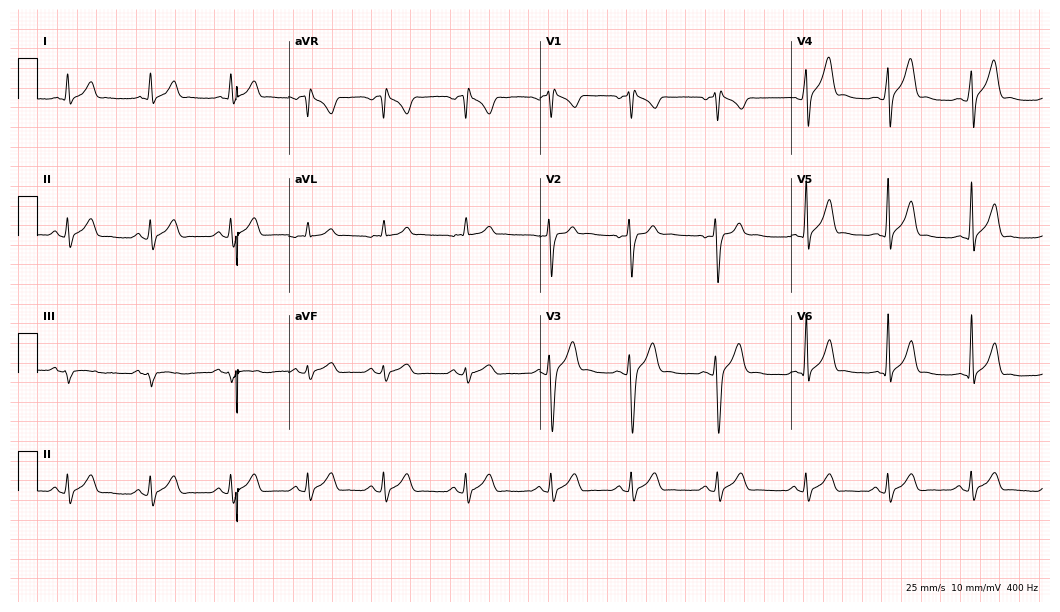
Standard 12-lead ECG recorded from a 23-year-old male (10.2-second recording at 400 Hz). None of these six findings is recorded: first-degree AV block, right bundle branch block, left bundle branch block, sinus bradycardia, atrial fibrillation, sinus tachycardia. Findings outside these six are not listed.